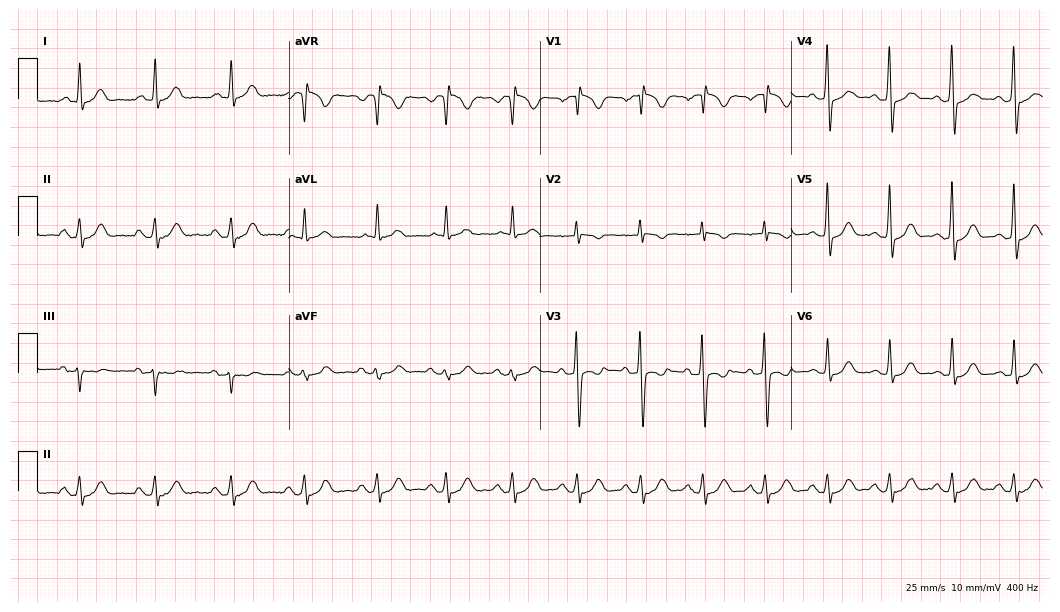
Standard 12-lead ECG recorded from a man, 55 years old (10.2-second recording at 400 Hz). None of these six findings is recorded: first-degree AV block, right bundle branch block, left bundle branch block, sinus bradycardia, atrial fibrillation, sinus tachycardia.